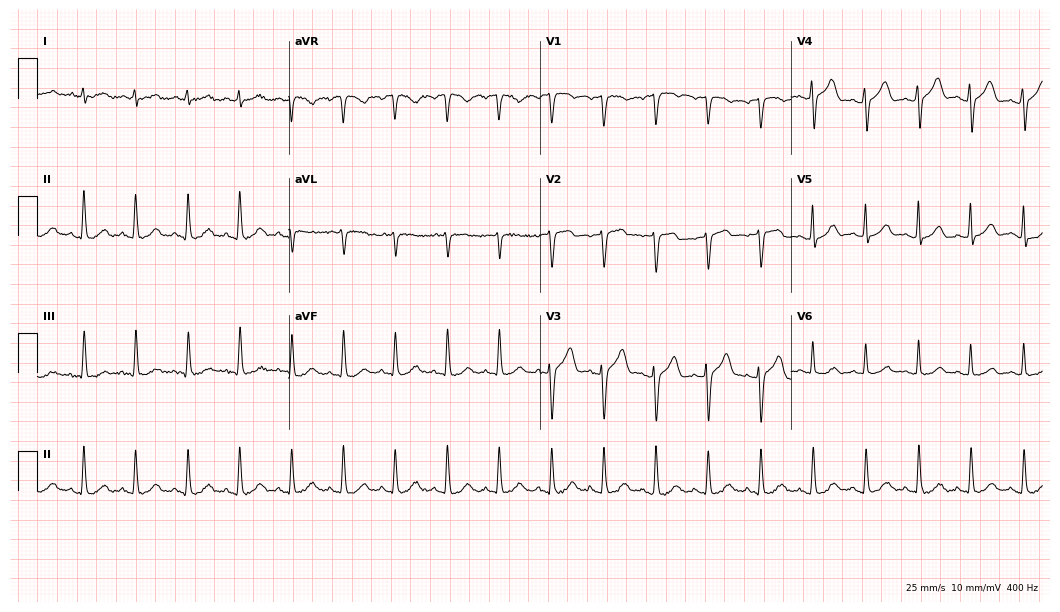
12-lead ECG from a female, 49 years old (10.2-second recording at 400 Hz). Shows sinus tachycardia (a sinus rate of 100 beats per minute or more).